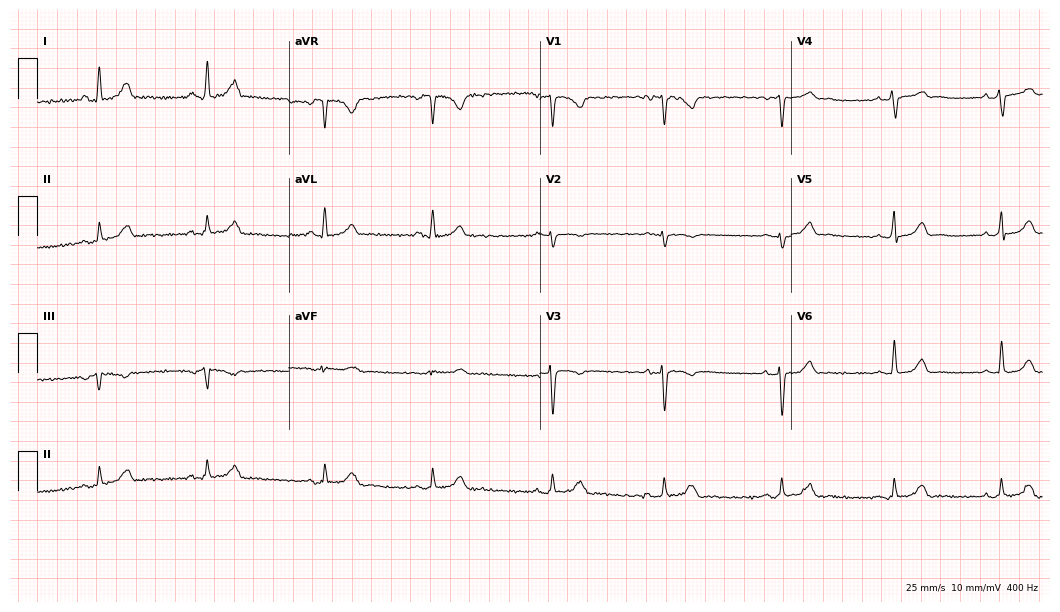
Standard 12-lead ECG recorded from a female, 37 years old (10.2-second recording at 400 Hz). None of these six findings is recorded: first-degree AV block, right bundle branch block, left bundle branch block, sinus bradycardia, atrial fibrillation, sinus tachycardia.